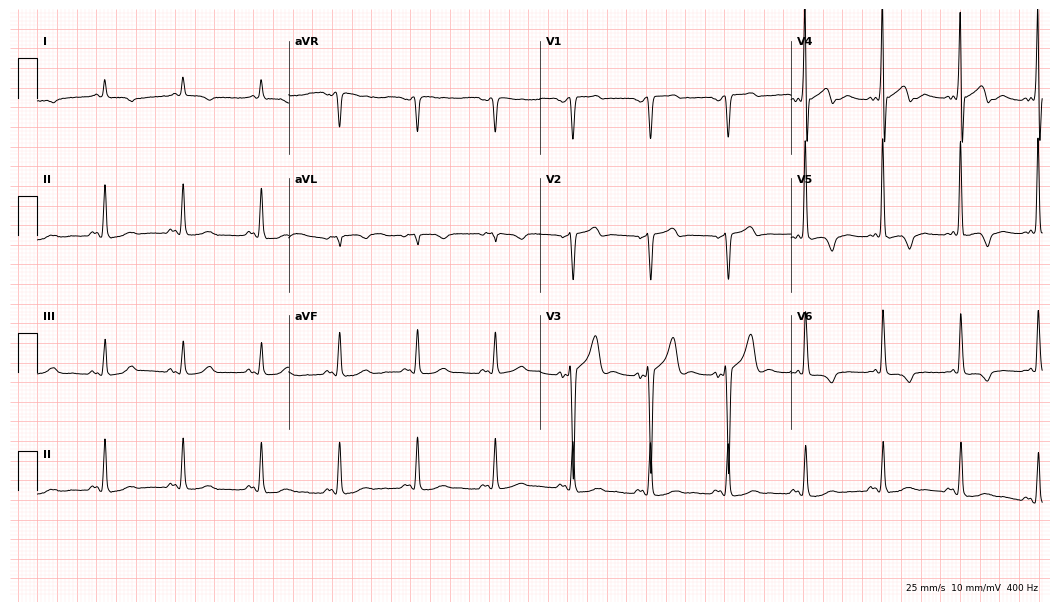
Resting 12-lead electrocardiogram (10.2-second recording at 400 Hz). Patient: an 82-year-old male. None of these six findings is recorded: first-degree AV block, right bundle branch block, left bundle branch block, sinus bradycardia, atrial fibrillation, sinus tachycardia. Only these six findings were labelled.